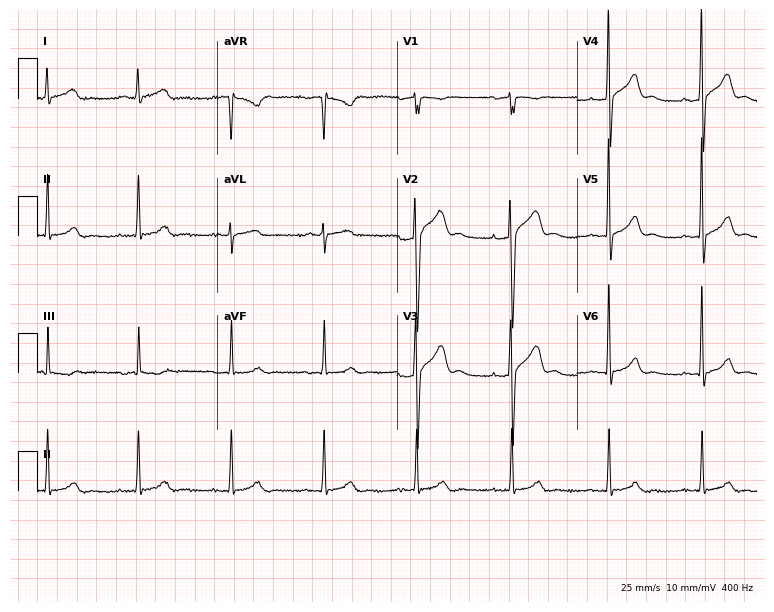
ECG (7.3-second recording at 400 Hz) — a 48-year-old male patient. Screened for six findings — first-degree AV block, right bundle branch block (RBBB), left bundle branch block (LBBB), sinus bradycardia, atrial fibrillation (AF), sinus tachycardia — none is recorded. Only these six findings were labelled.